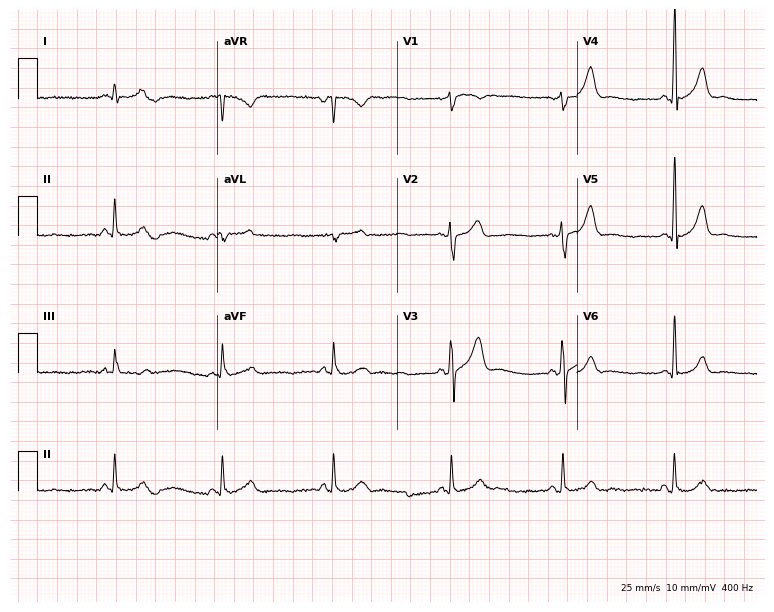
12-lead ECG (7.3-second recording at 400 Hz) from a 43-year-old male. Screened for six findings — first-degree AV block, right bundle branch block, left bundle branch block, sinus bradycardia, atrial fibrillation, sinus tachycardia — none is recorded.